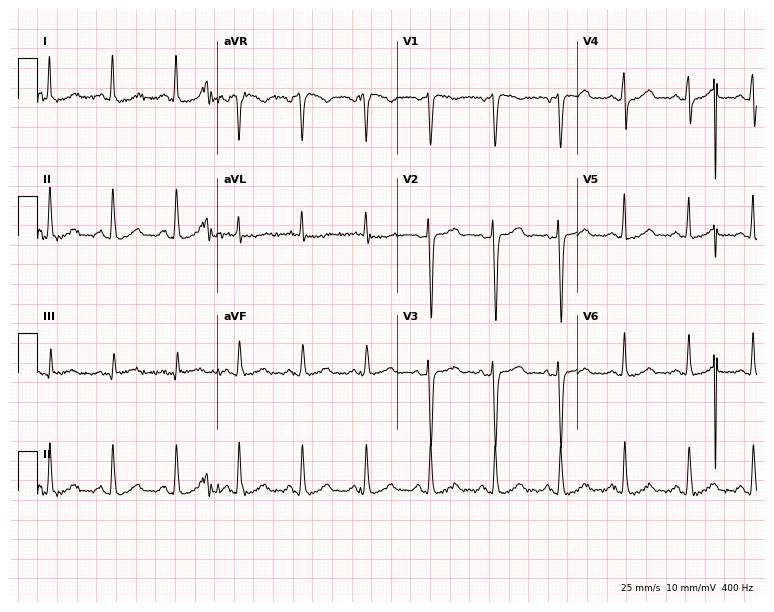
12-lead ECG from a female patient, 41 years old (7.3-second recording at 400 Hz). No first-degree AV block, right bundle branch block (RBBB), left bundle branch block (LBBB), sinus bradycardia, atrial fibrillation (AF) or sinus tachycardia recorded for this tracing. Findings outside these six are not listed.